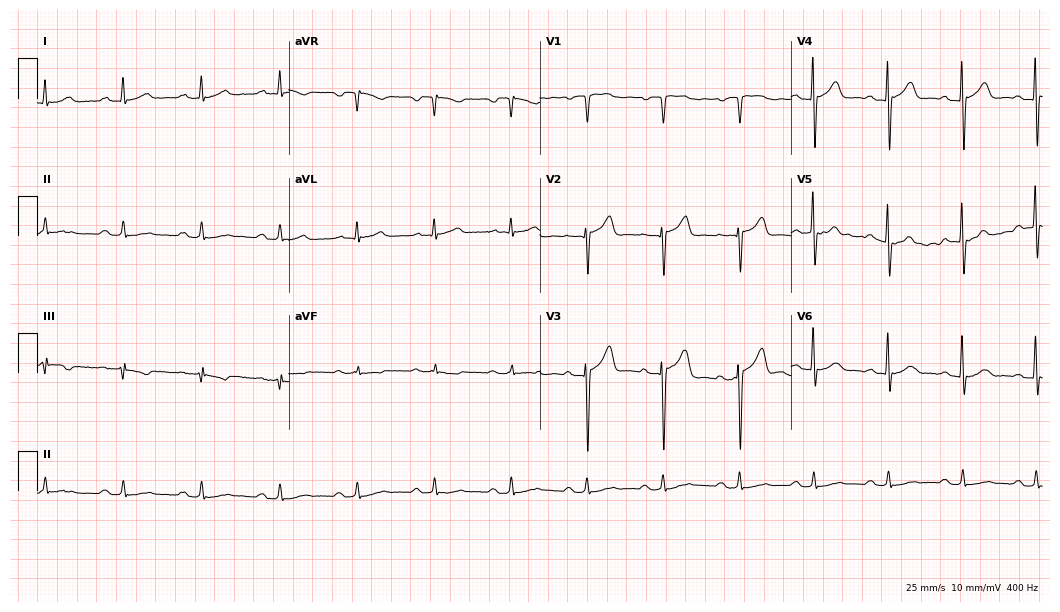
12-lead ECG from a 76-year-old male (10.2-second recording at 400 Hz). Recorded interpretation: within normal limits.